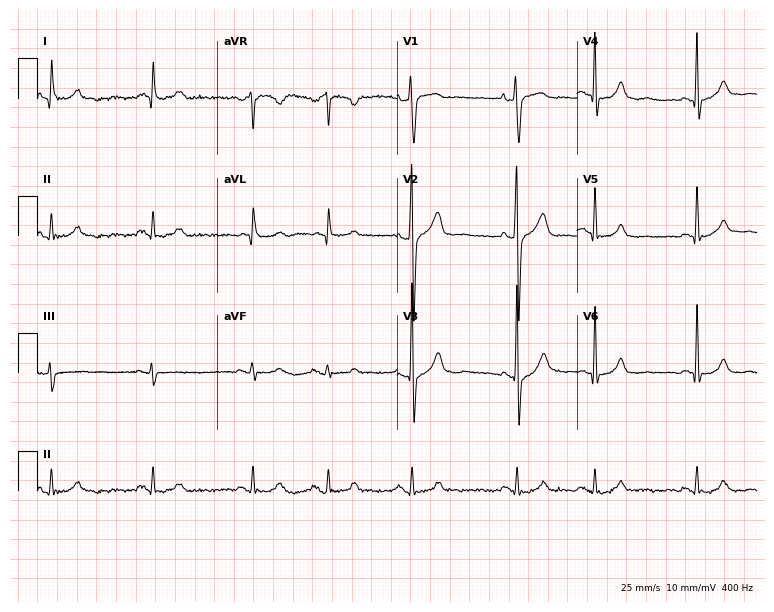
12-lead ECG from a 59-year-old male. No first-degree AV block, right bundle branch block, left bundle branch block, sinus bradycardia, atrial fibrillation or sinus tachycardia recorded for this tracing.